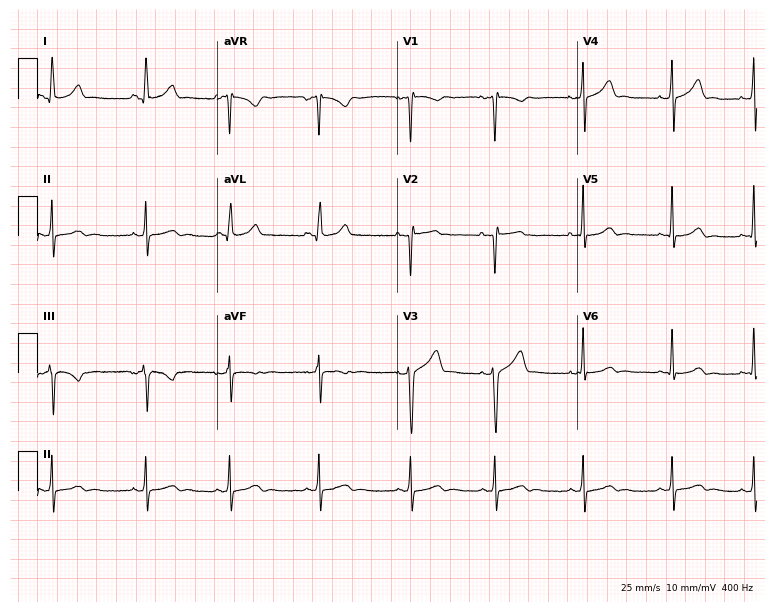
12-lead ECG from a woman, 19 years old (7.3-second recording at 400 Hz). Recorded interpretation: within normal limits.